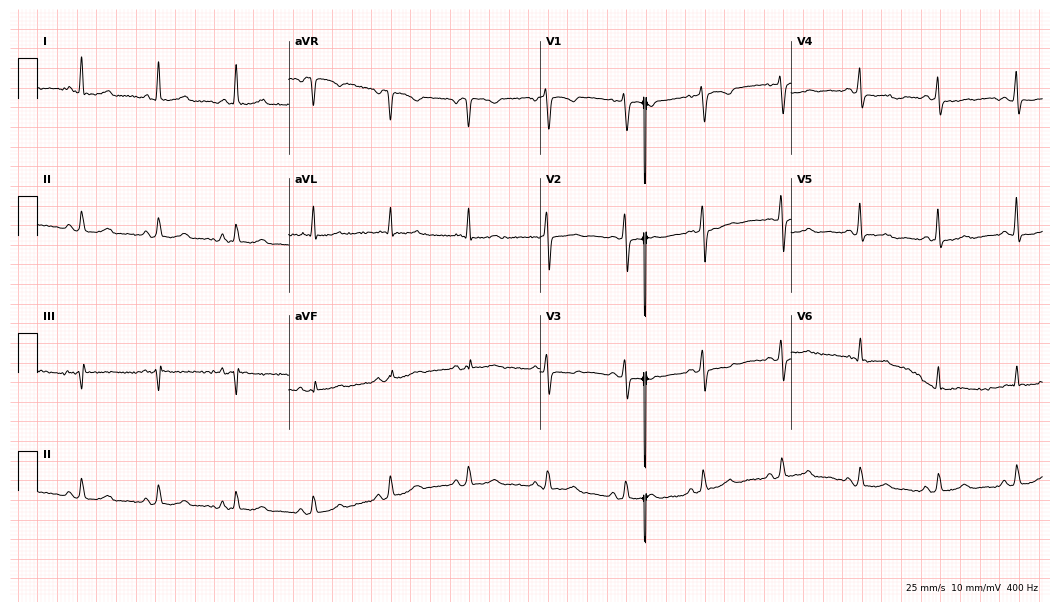
Resting 12-lead electrocardiogram (10.2-second recording at 400 Hz). Patient: a female, 69 years old. None of these six findings is recorded: first-degree AV block, right bundle branch block, left bundle branch block, sinus bradycardia, atrial fibrillation, sinus tachycardia. Only these six findings were labelled.